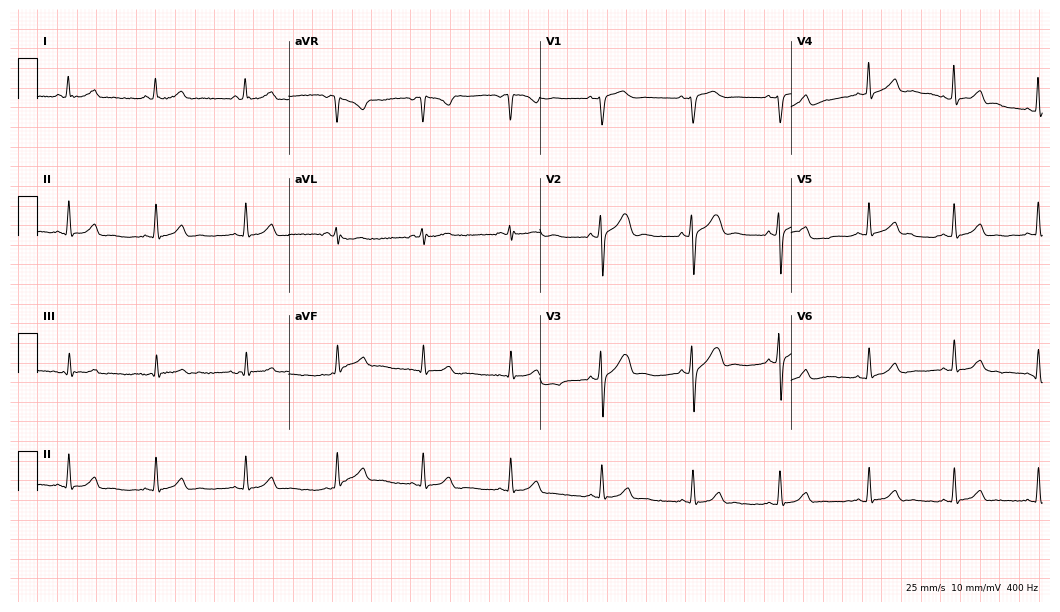
12-lead ECG from a female patient, 26 years old. Labelled as a normal ECG.